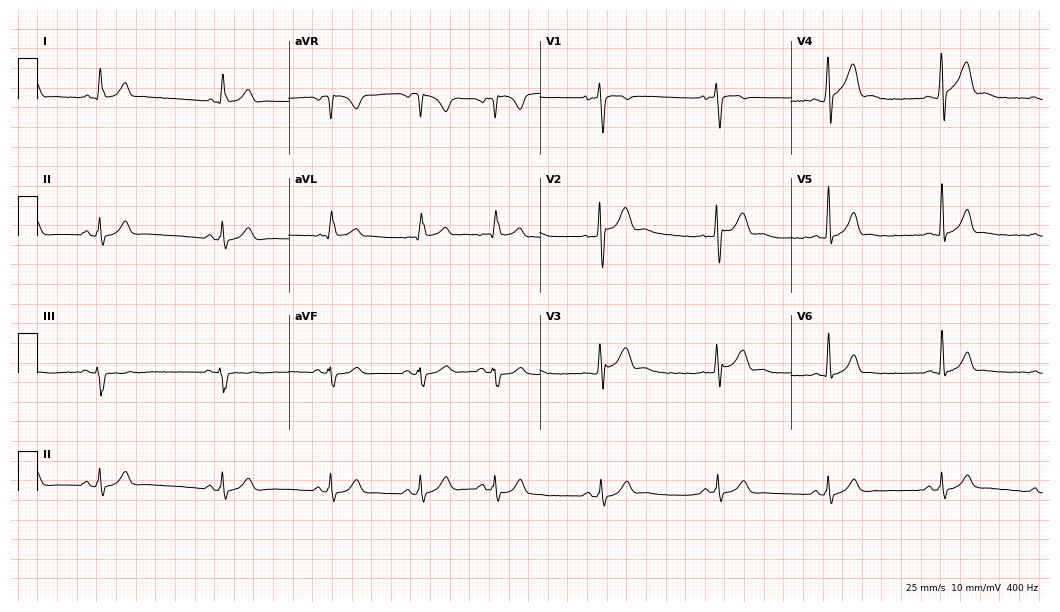
ECG — a 26-year-old male. Labelled as a normal ECG.